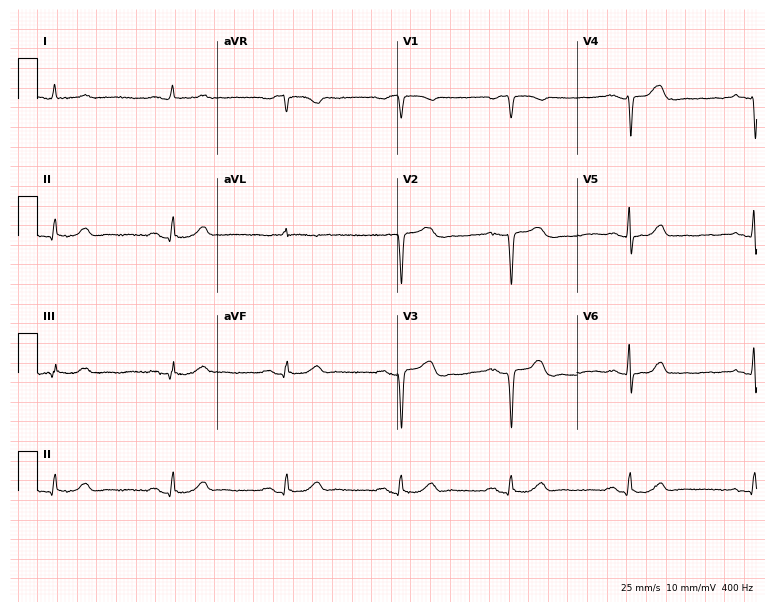
Resting 12-lead electrocardiogram (7.3-second recording at 400 Hz). Patient: a man, 81 years old. None of these six findings is recorded: first-degree AV block, right bundle branch block, left bundle branch block, sinus bradycardia, atrial fibrillation, sinus tachycardia. Only these six findings were labelled.